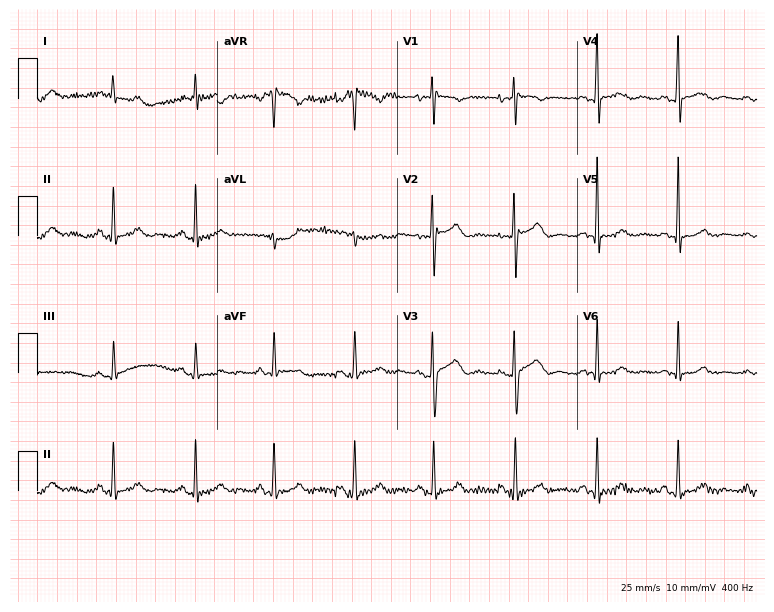
Resting 12-lead electrocardiogram (7.3-second recording at 400 Hz). Patient: a female, 47 years old. None of these six findings is recorded: first-degree AV block, right bundle branch block, left bundle branch block, sinus bradycardia, atrial fibrillation, sinus tachycardia.